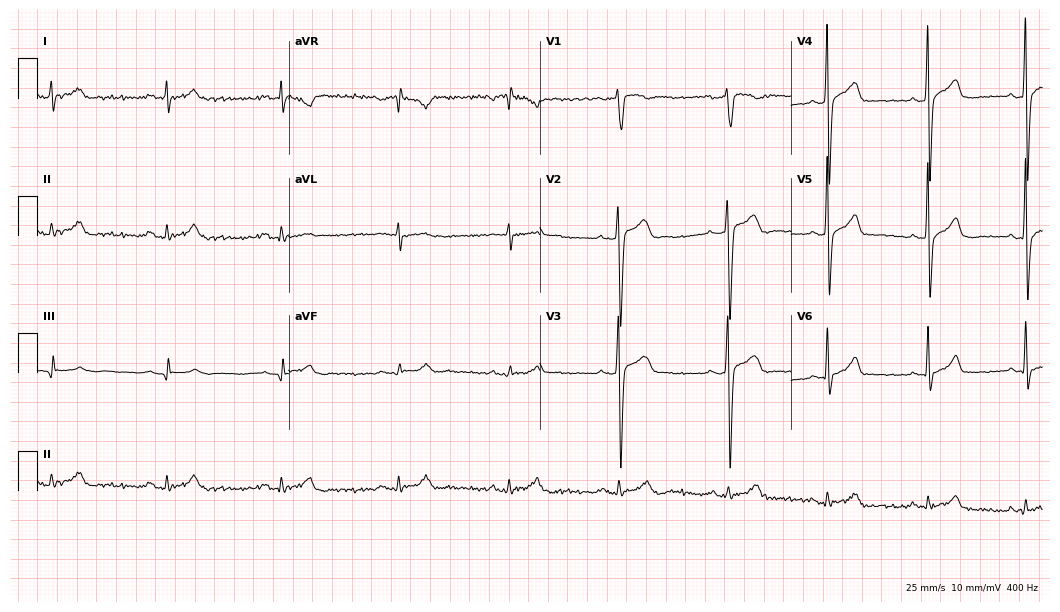
Electrocardiogram, a male patient, 28 years old. Overall reading on record: normal ECG.